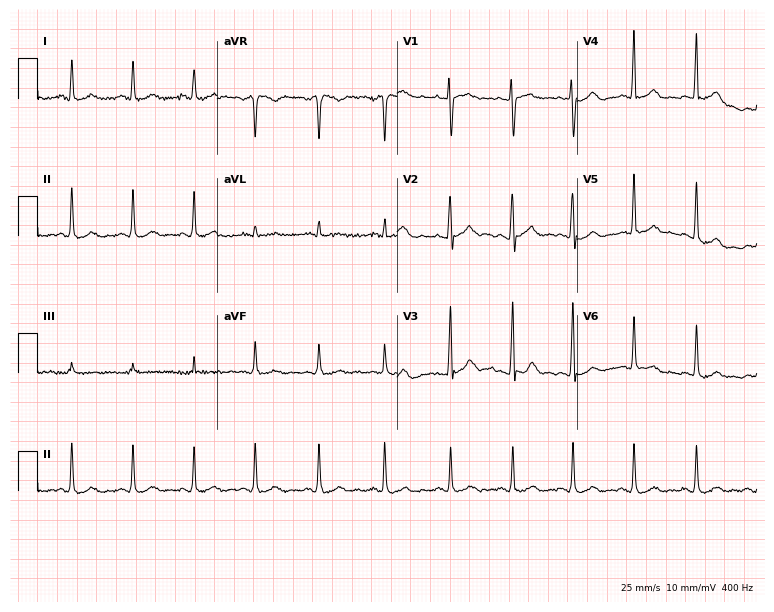
12-lead ECG from a 30-year-old female patient. Screened for six findings — first-degree AV block, right bundle branch block, left bundle branch block, sinus bradycardia, atrial fibrillation, sinus tachycardia — none is recorded. Only these six findings were labelled.